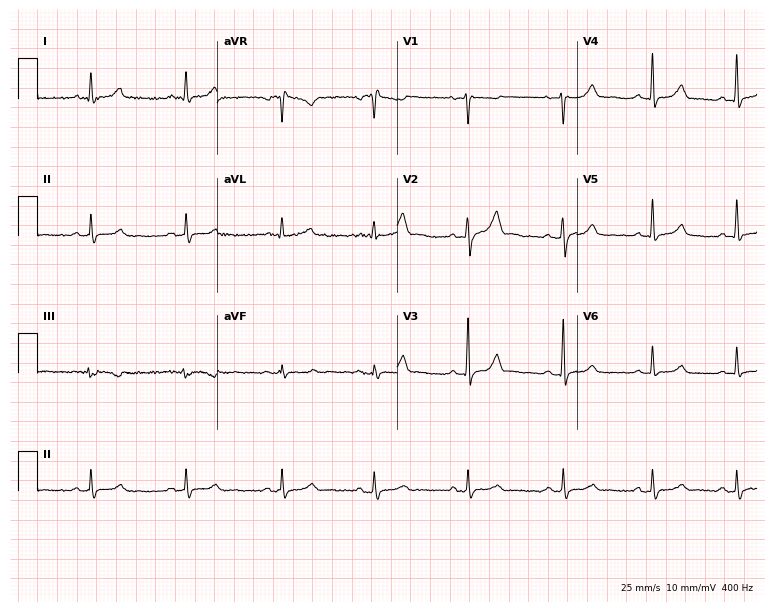
ECG (7.3-second recording at 400 Hz) — a 38-year-old female patient. Screened for six findings — first-degree AV block, right bundle branch block, left bundle branch block, sinus bradycardia, atrial fibrillation, sinus tachycardia — none is recorded. Findings outside these six are not listed.